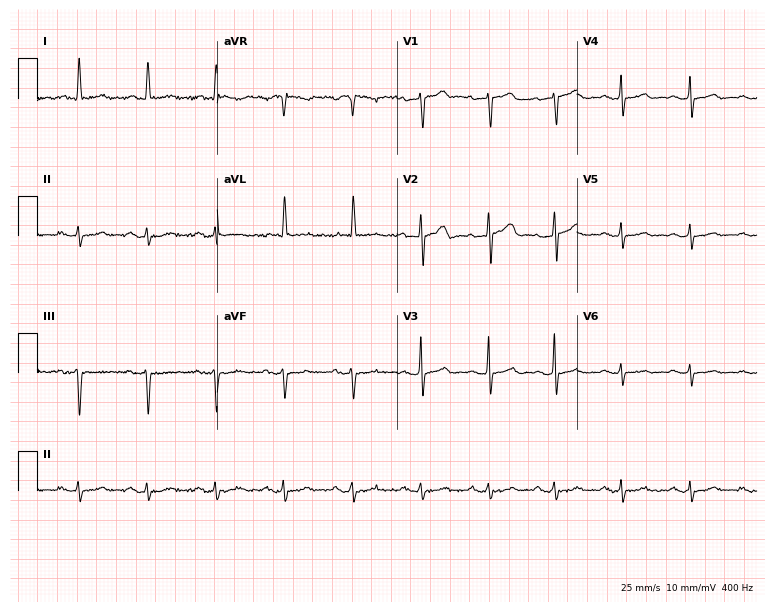
ECG (7.3-second recording at 400 Hz) — a 77-year-old female. Screened for six findings — first-degree AV block, right bundle branch block (RBBB), left bundle branch block (LBBB), sinus bradycardia, atrial fibrillation (AF), sinus tachycardia — none is recorded.